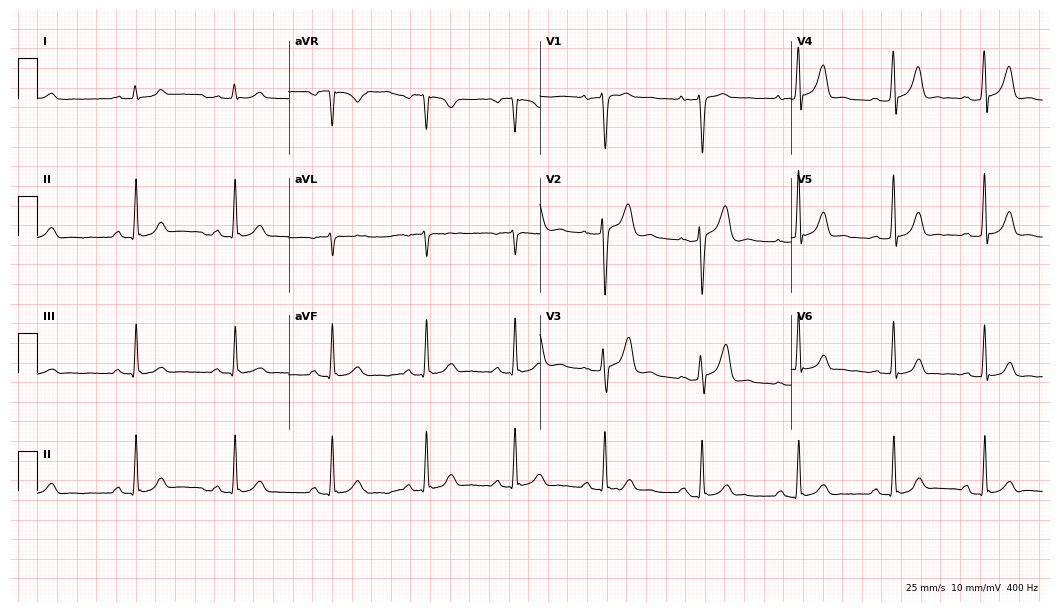
ECG — a male, 34 years old. Labelled as a normal ECG.